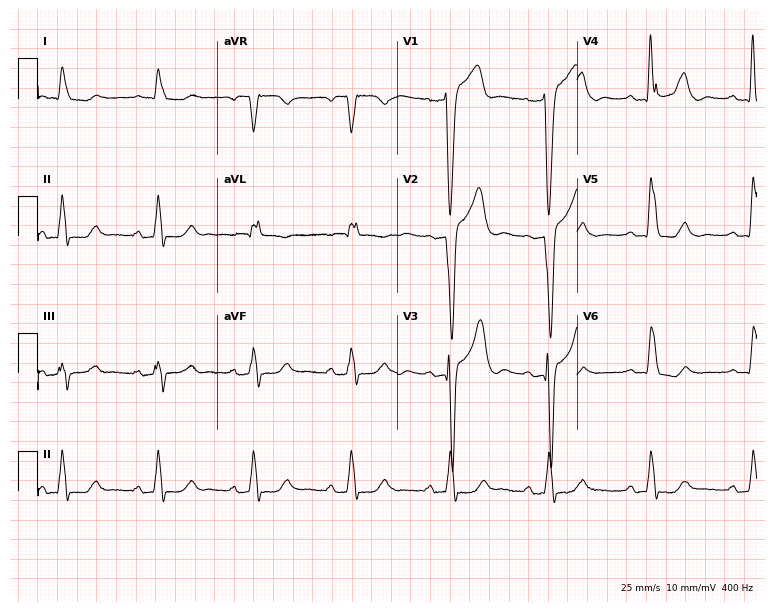
Resting 12-lead electrocardiogram. Patient: a 49-year-old woman. The tracing shows left bundle branch block.